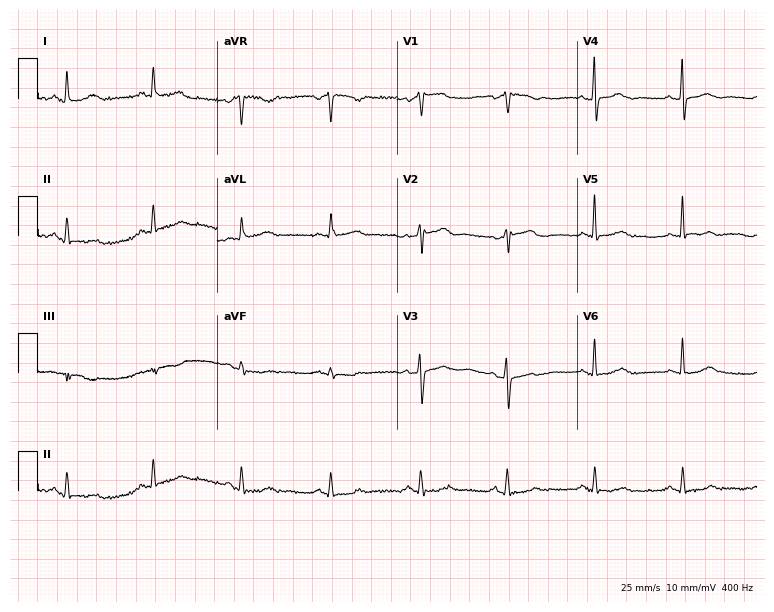
Resting 12-lead electrocardiogram. Patient: a 76-year-old female. None of these six findings is recorded: first-degree AV block, right bundle branch block, left bundle branch block, sinus bradycardia, atrial fibrillation, sinus tachycardia.